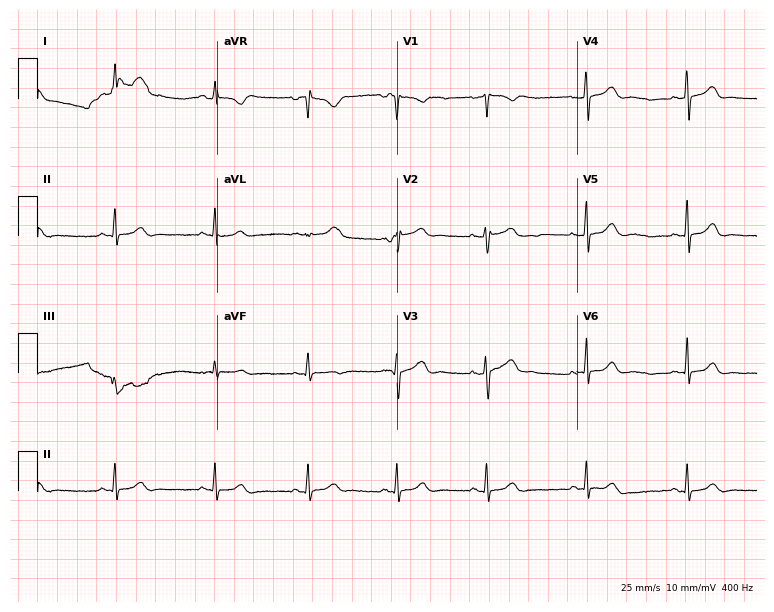
Standard 12-lead ECG recorded from a female patient, 21 years old. Read as a normal ECG.